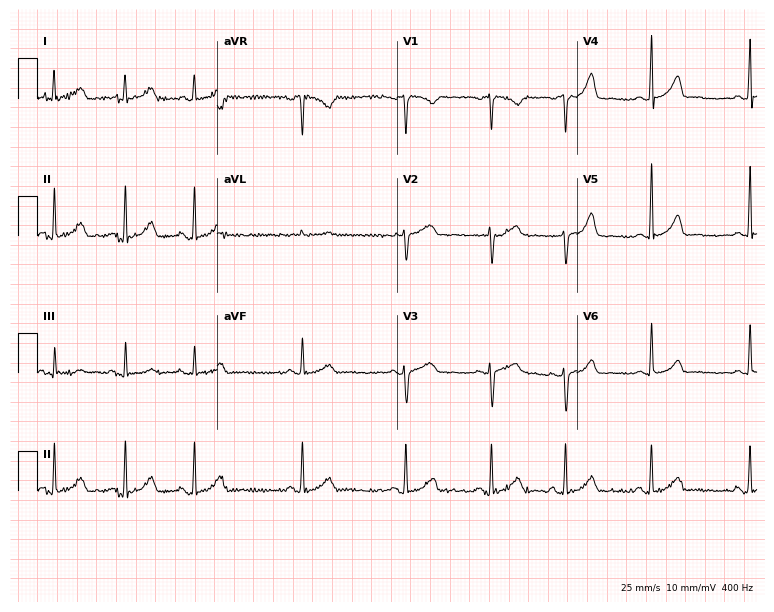
12-lead ECG (7.3-second recording at 400 Hz) from a 30-year-old female patient. Screened for six findings — first-degree AV block, right bundle branch block, left bundle branch block, sinus bradycardia, atrial fibrillation, sinus tachycardia — none is recorded. Findings outside these six are not listed.